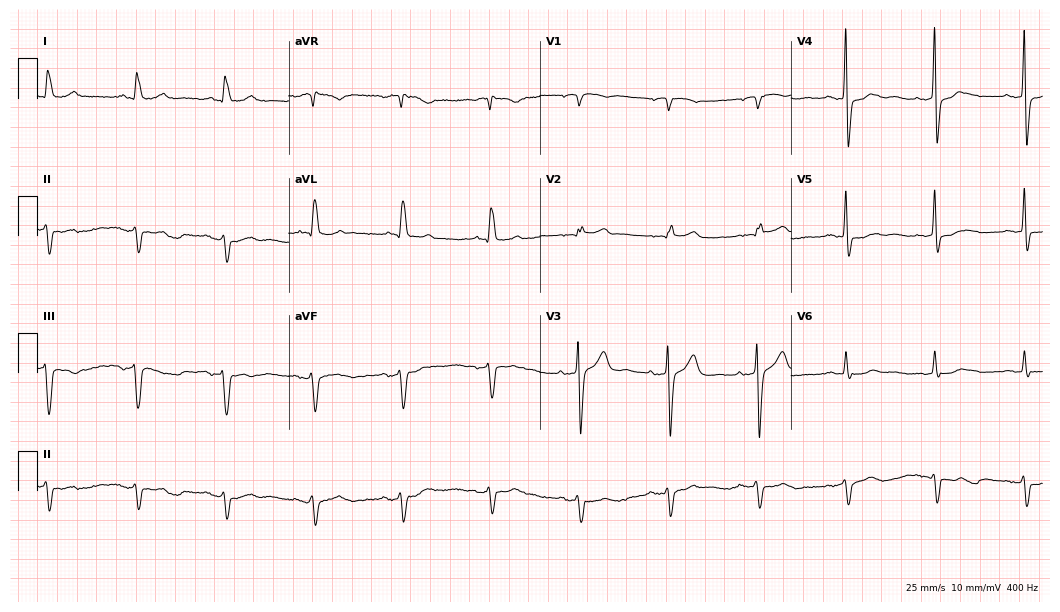
12-lead ECG (10.2-second recording at 400 Hz) from a 78-year-old man. Screened for six findings — first-degree AV block, right bundle branch block, left bundle branch block, sinus bradycardia, atrial fibrillation, sinus tachycardia — none is recorded.